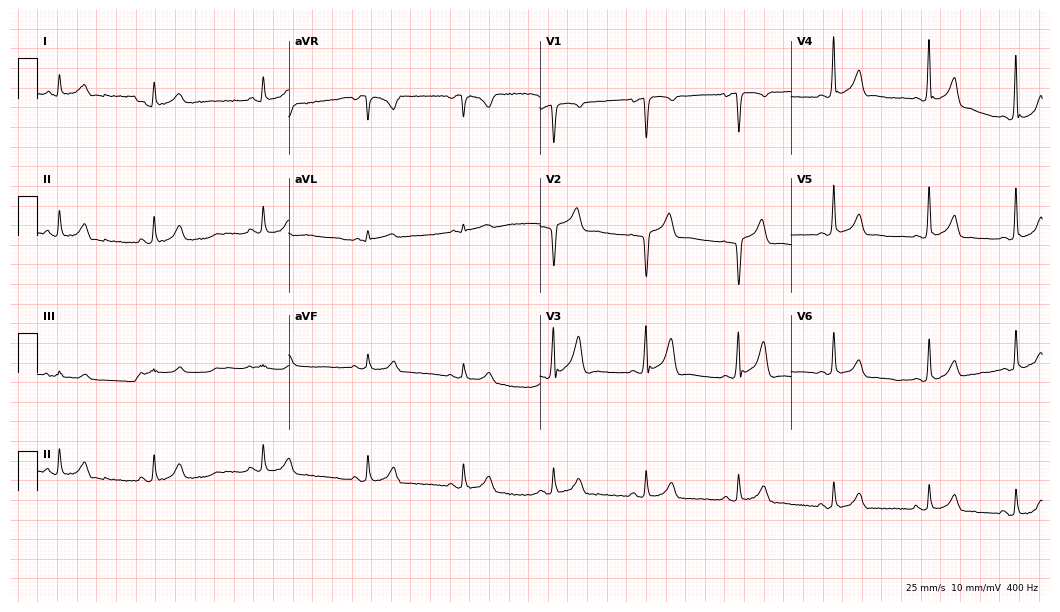
12-lead ECG from a 35-year-old male patient (10.2-second recording at 400 Hz). Recorded interpretation: within normal limits.